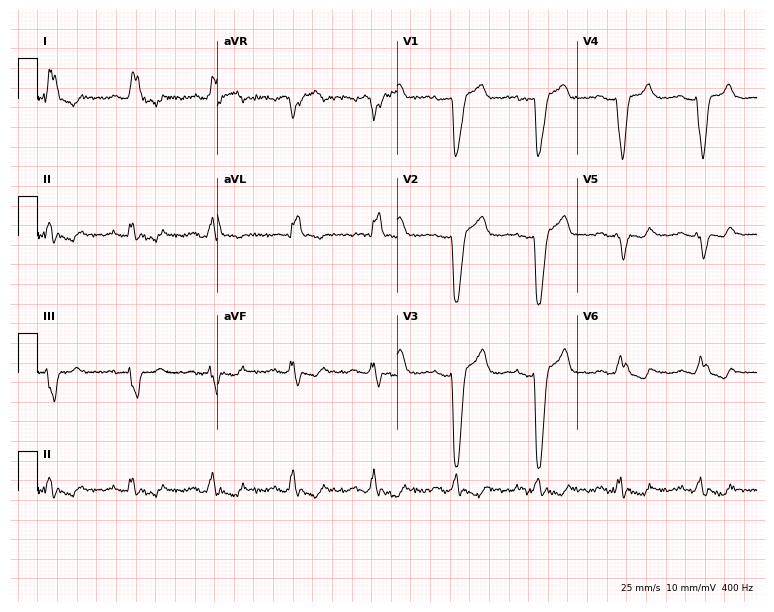
ECG — a female, 69 years old. Findings include left bundle branch block.